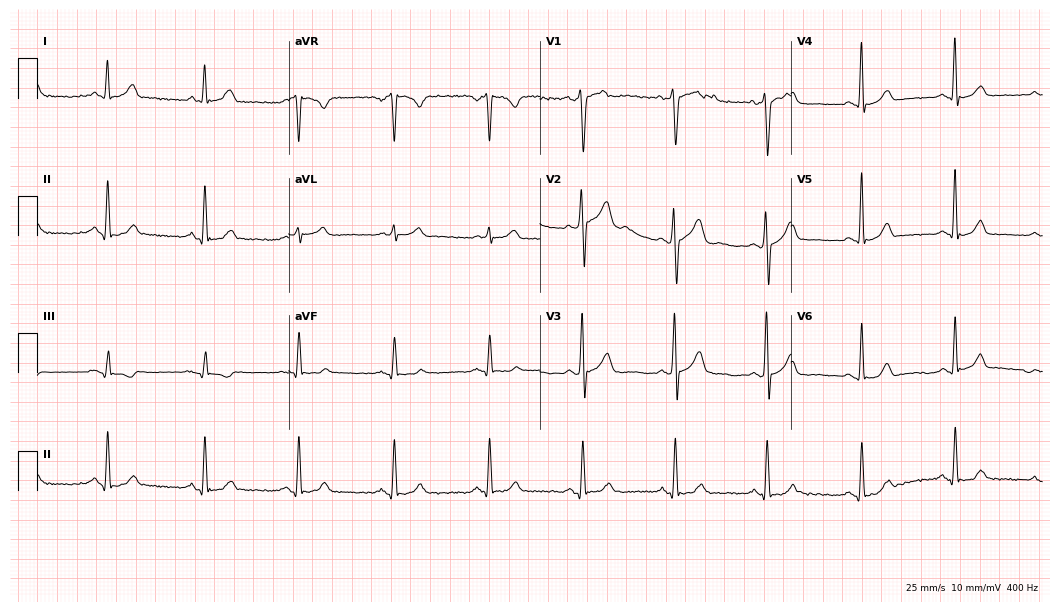
ECG — a 54-year-old man. Screened for six findings — first-degree AV block, right bundle branch block, left bundle branch block, sinus bradycardia, atrial fibrillation, sinus tachycardia — none is recorded.